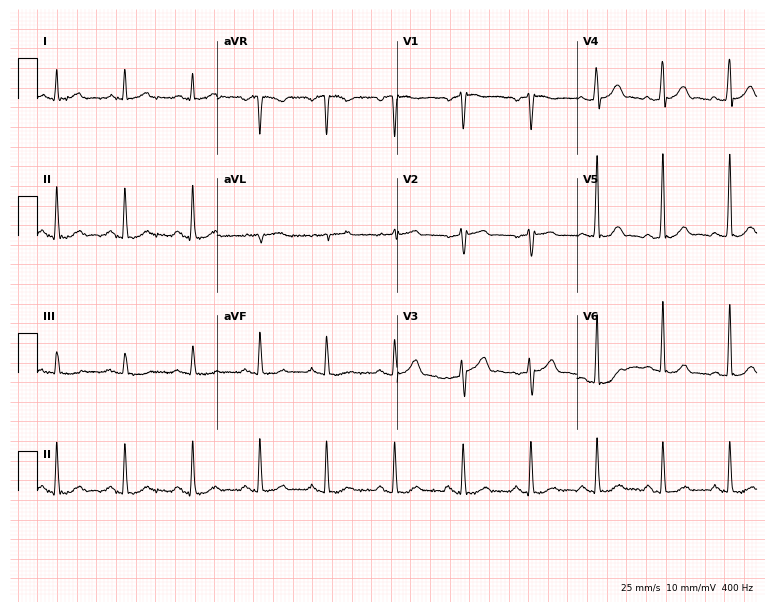
Standard 12-lead ECG recorded from a 54-year-old male patient. None of these six findings is recorded: first-degree AV block, right bundle branch block, left bundle branch block, sinus bradycardia, atrial fibrillation, sinus tachycardia. Findings outside these six are not listed.